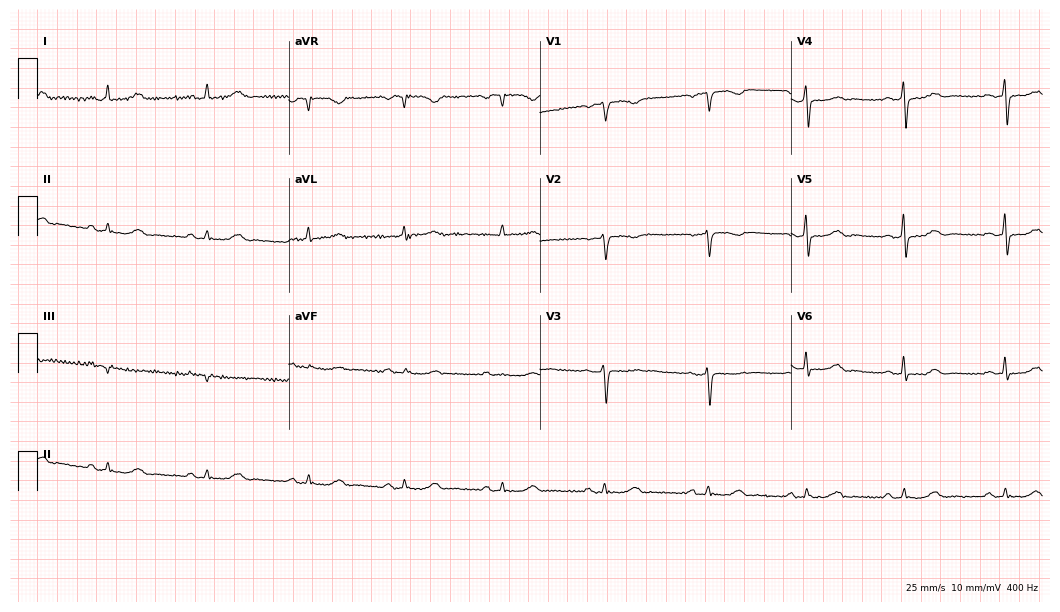
Resting 12-lead electrocardiogram (10.2-second recording at 400 Hz). Patient: a female, 67 years old. Read as a normal ECG.